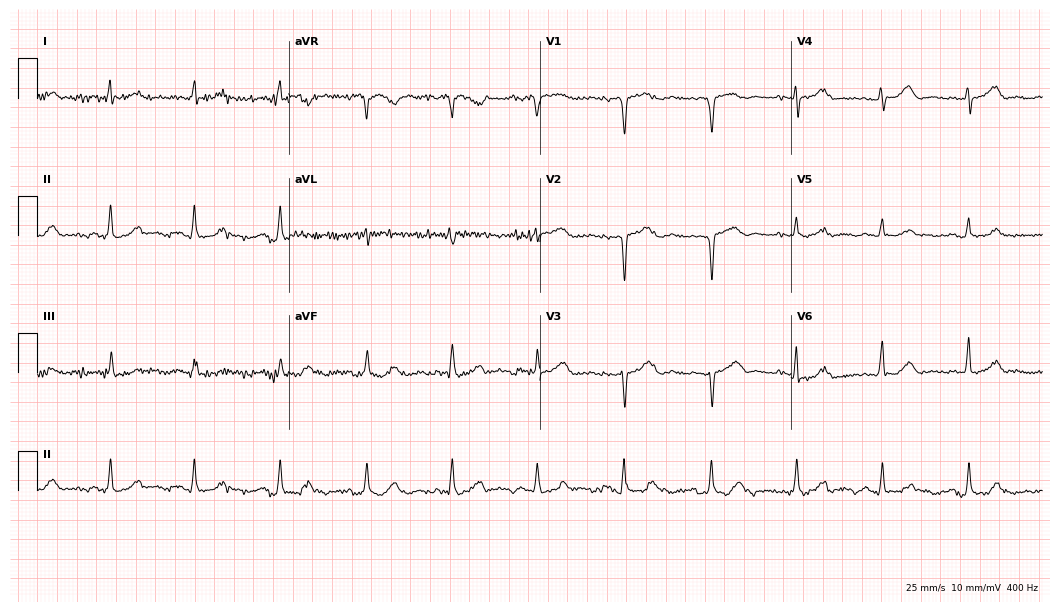
Electrocardiogram, a woman, 67 years old. Of the six screened findings (first-degree AV block, right bundle branch block, left bundle branch block, sinus bradycardia, atrial fibrillation, sinus tachycardia), none is recorded. Only these six findings were labelled.